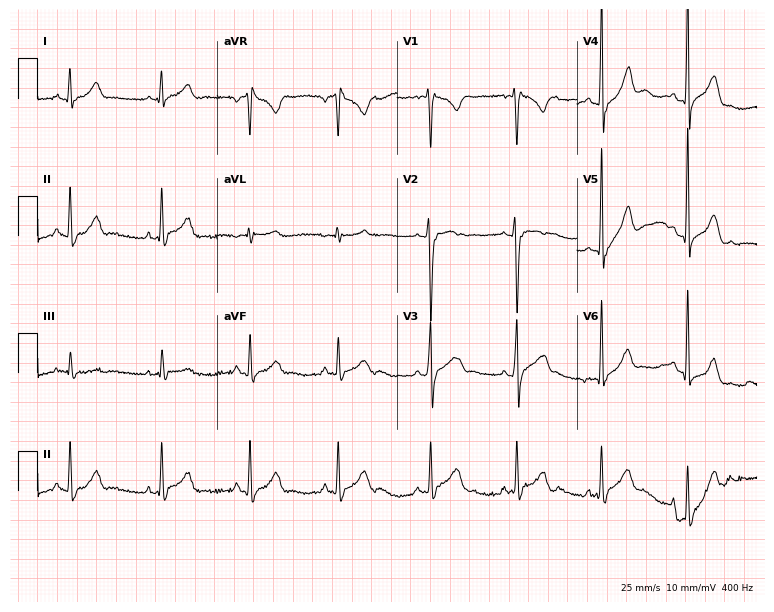
ECG (7.3-second recording at 400 Hz) — a male patient, 18 years old. Labelled as a normal ECG.